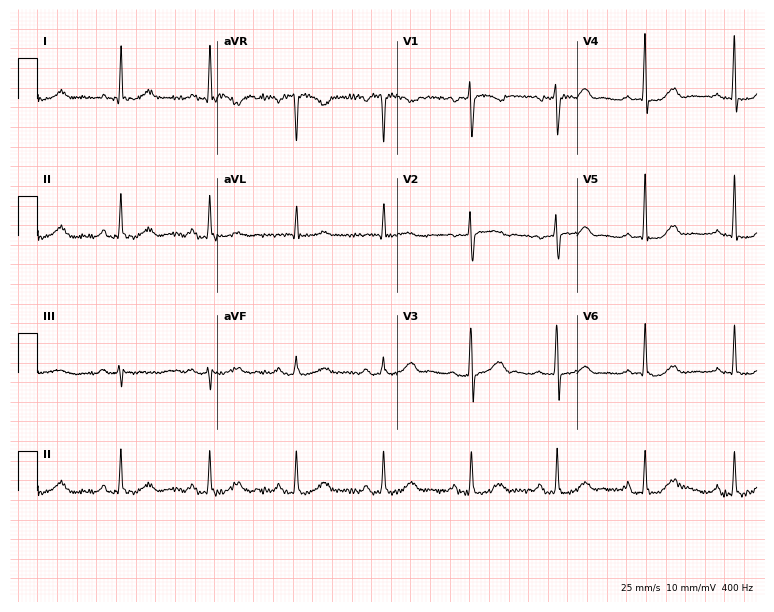
12-lead ECG from a female, 67 years old (7.3-second recording at 400 Hz). Recorded interpretation: within normal limits.